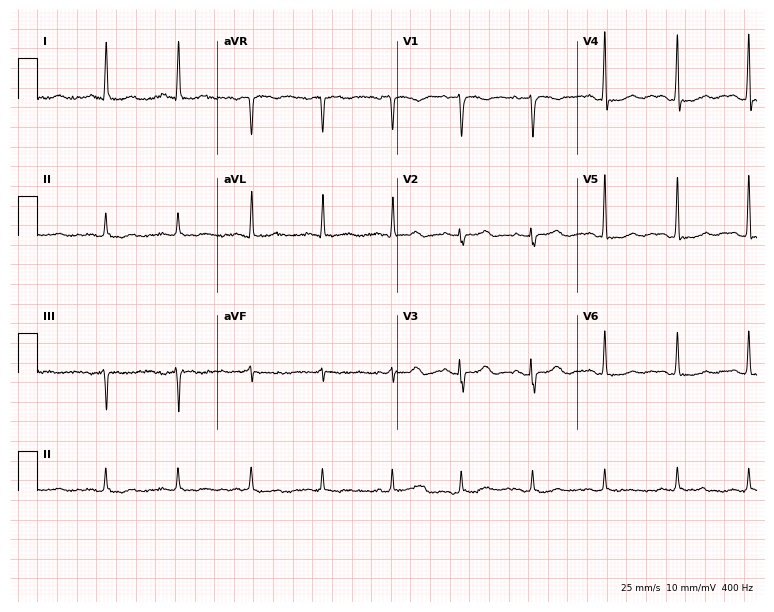
12-lead ECG from a 62-year-old female patient (7.3-second recording at 400 Hz). No first-degree AV block, right bundle branch block, left bundle branch block, sinus bradycardia, atrial fibrillation or sinus tachycardia recorded for this tracing.